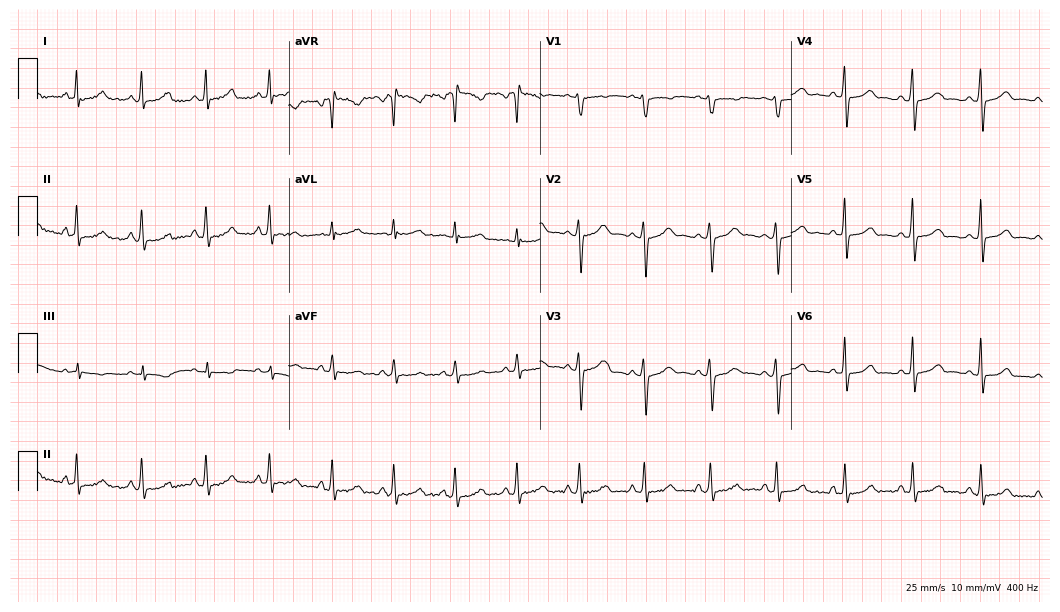
Resting 12-lead electrocardiogram. Patient: a 32-year-old female. Read as a normal ECG.